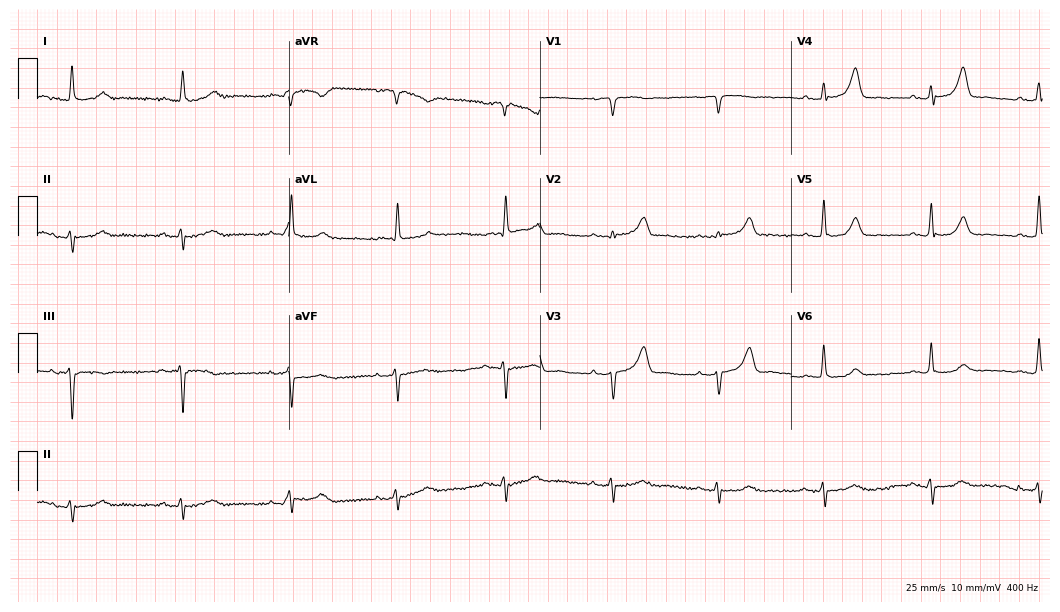
Electrocardiogram, an 85-year-old male. Of the six screened findings (first-degree AV block, right bundle branch block, left bundle branch block, sinus bradycardia, atrial fibrillation, sinus tachycardia), none is recorded. Findings outside these six are not listed.